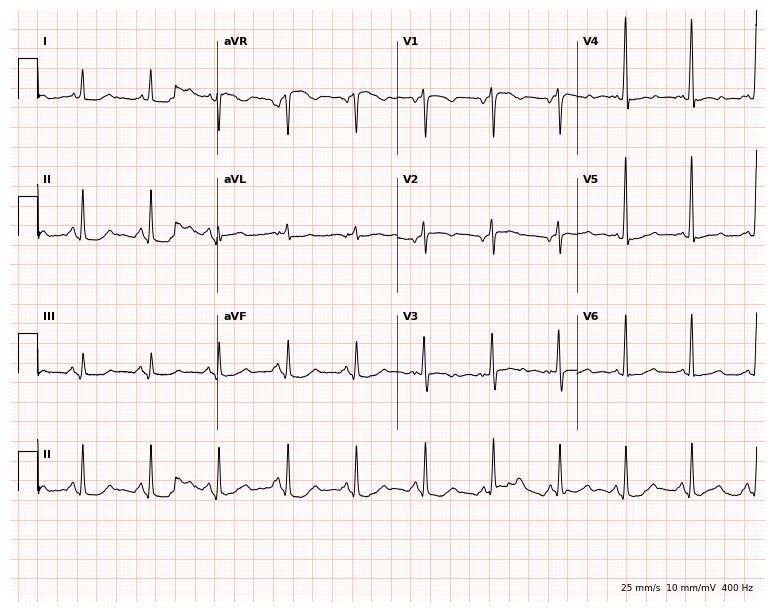
Resting 12-lead electrocardiogram. Patient: a 35-year-old woman. None of these six findings is recorded: first-degree AV block, right bundle branch block, left bundle branch block, sinus bradycardia, atrial fibrillation, sinus tachycardia. Findings outside these six are not listed.